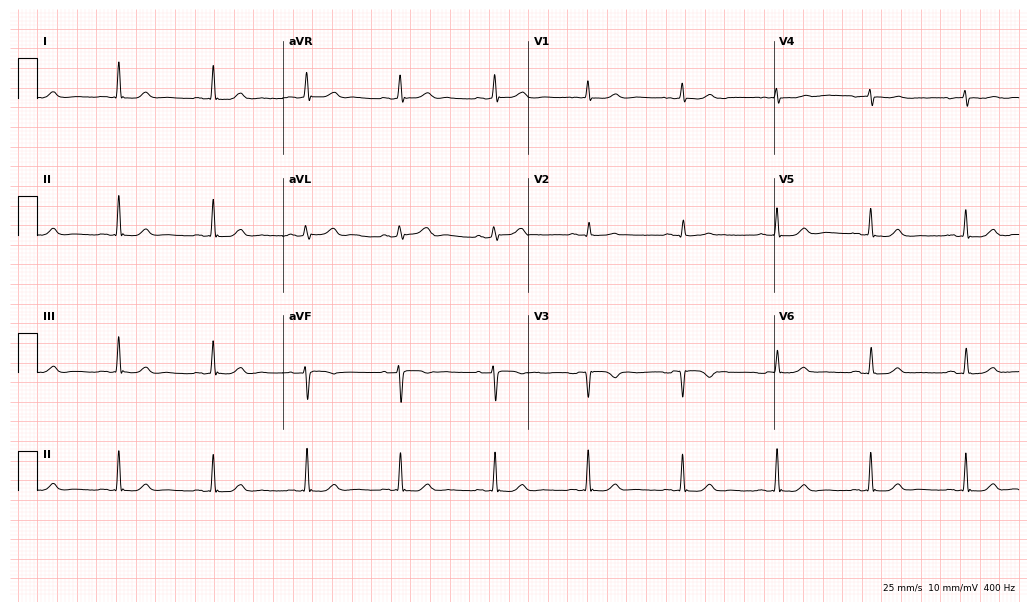
Resting 12-lead electrocardiogram. Patient: a female, 52 years old. None of these six findings is recorded: first-degree AV block, right bundle branch block, left bundle branch block, sinus bradycardia, atrial fibrillation, sinus tachycardia.